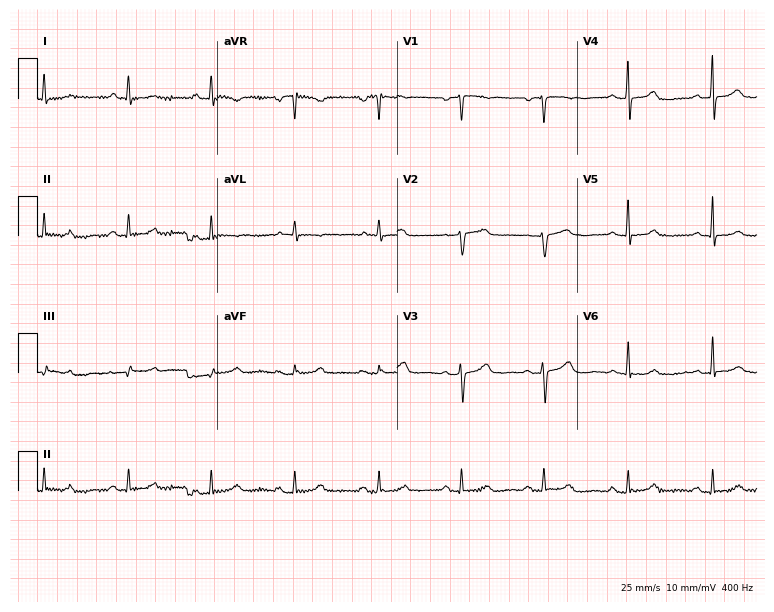
ECG (7.3-second recording at 400 Hz) — a female patient, 59 years old. Screened for six findings — first-degree AV block, right bundle branch block, left bundle branch block, sinus bradycardia, atrial fibrillation, sinus tachycardia — none is recorded.